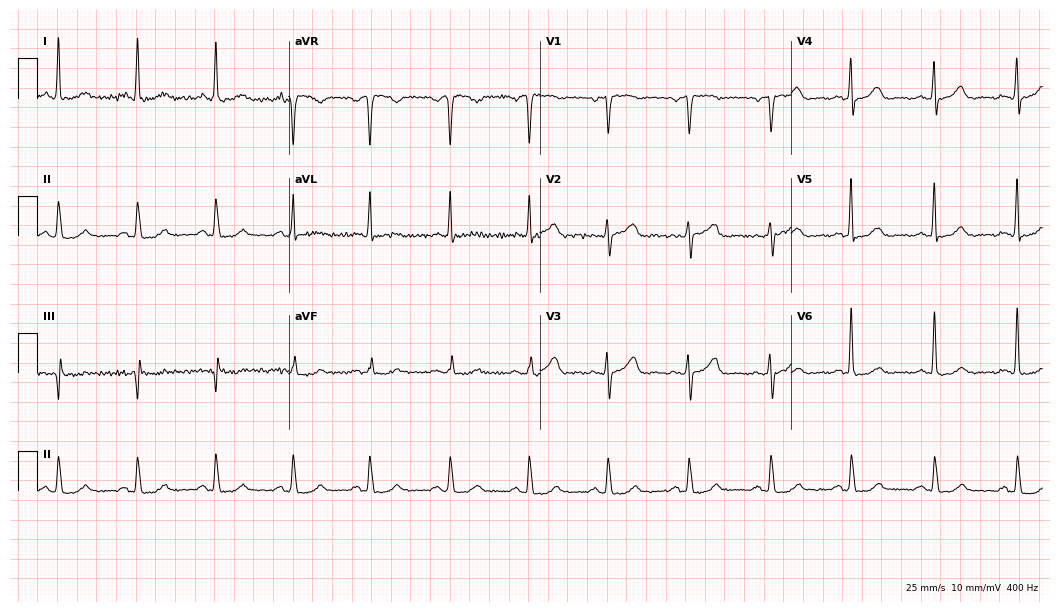
Resting 12-lead electrocardiogram (10.2-second recording at 400 Hz). Patient: a 52-year-old woman. None of these six findings is recorded: first-degree AV block, right bundle branch block, left bundle branch block, sinus bradycardia, atrial fibrillation, sinus tachycardia. Findings outside these six are not listed.